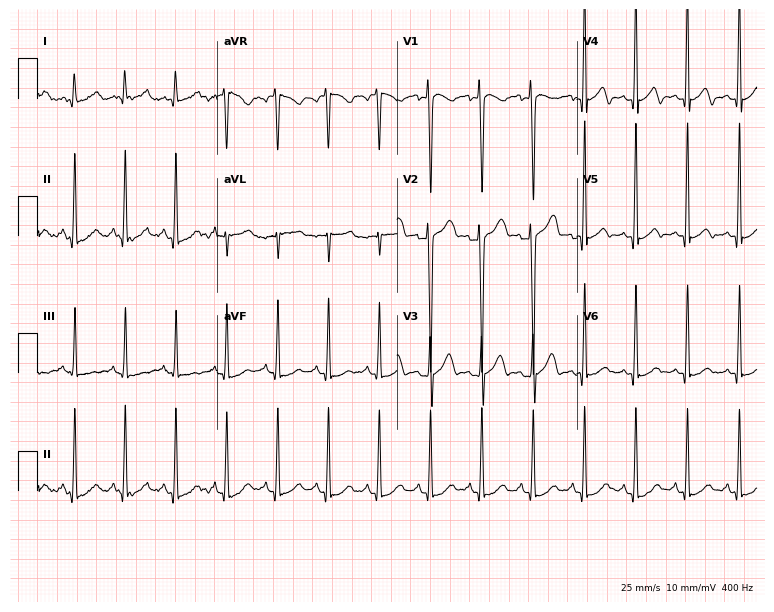
12-lead ECG (7.3-second recording at 400 Hz) from a 21-year-old male. Findings include sinus tachycardia (a sinus rate of 100 beats per minute or more).